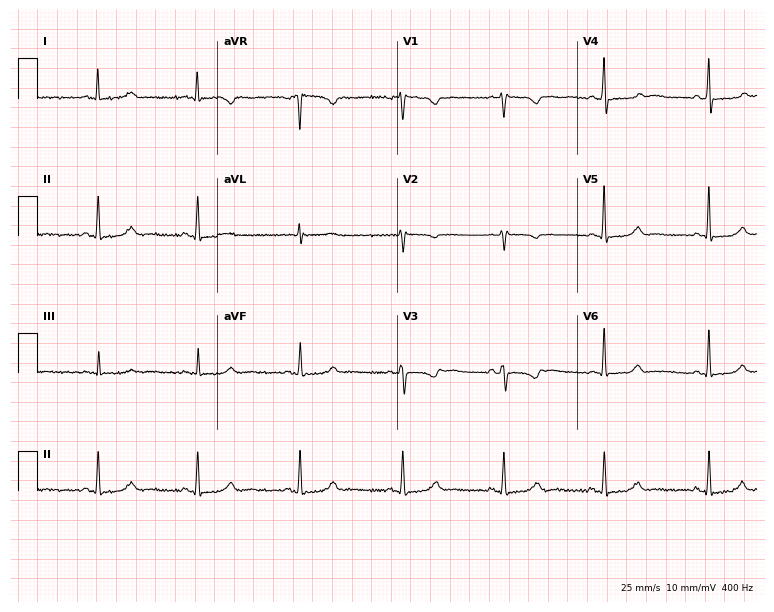
Electrocardiogram, a 63-year-old woman. Overall reading on record: normal ECG.